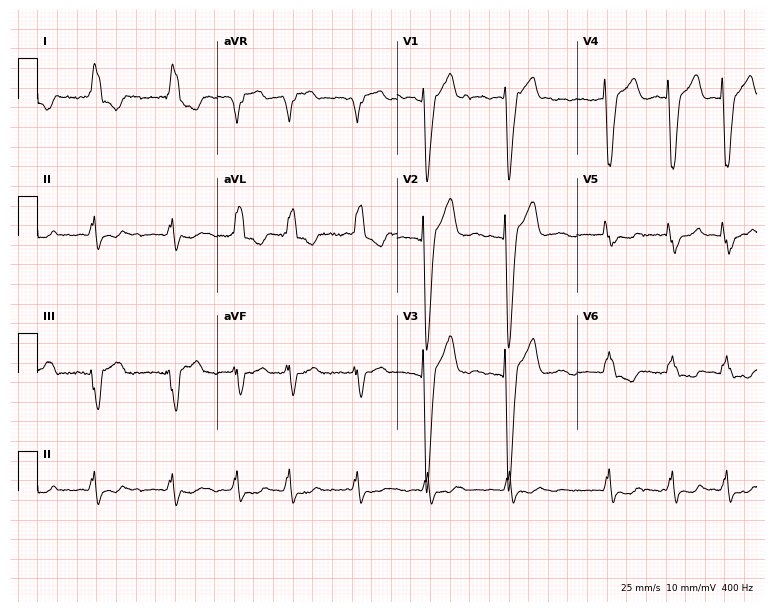
12-lead ECG from a woman, 73 years old. Shows left bundle branch block (LBBB), atrial fibrillation (AF).